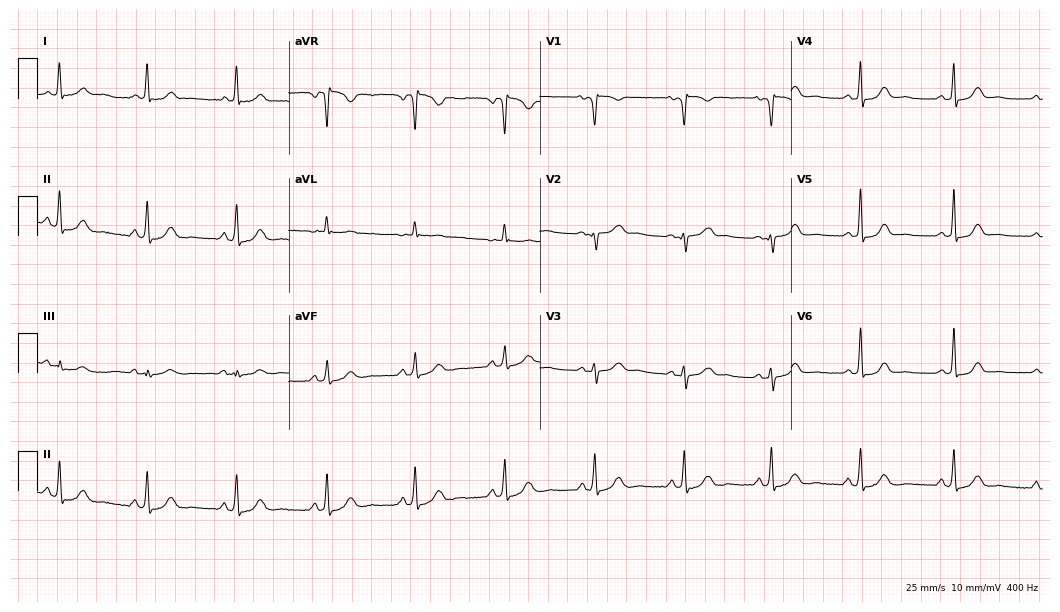
Resting 12-lead electrocardiogram. Patient: a female, 42 years old. Read as a normal ECG.